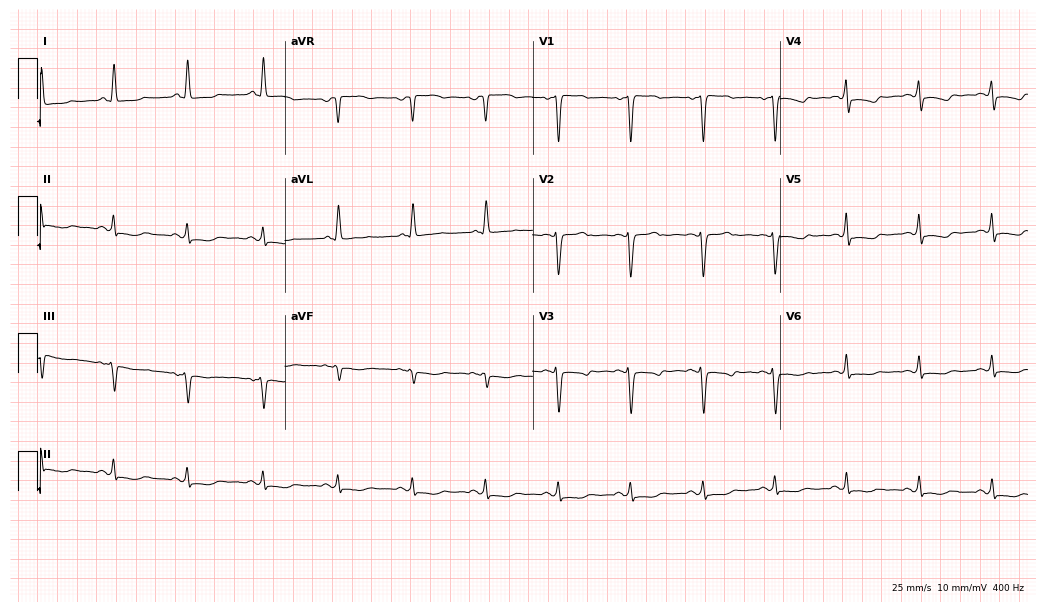
12-lead ECG from a woman, 63 years old. No first-degree AV block, right bundle branch block, left bundle branch block, sinus bradycardia, atrial fibrillation or sinus tachycardia recorded for this tracing. Findings outside these six are not listed.